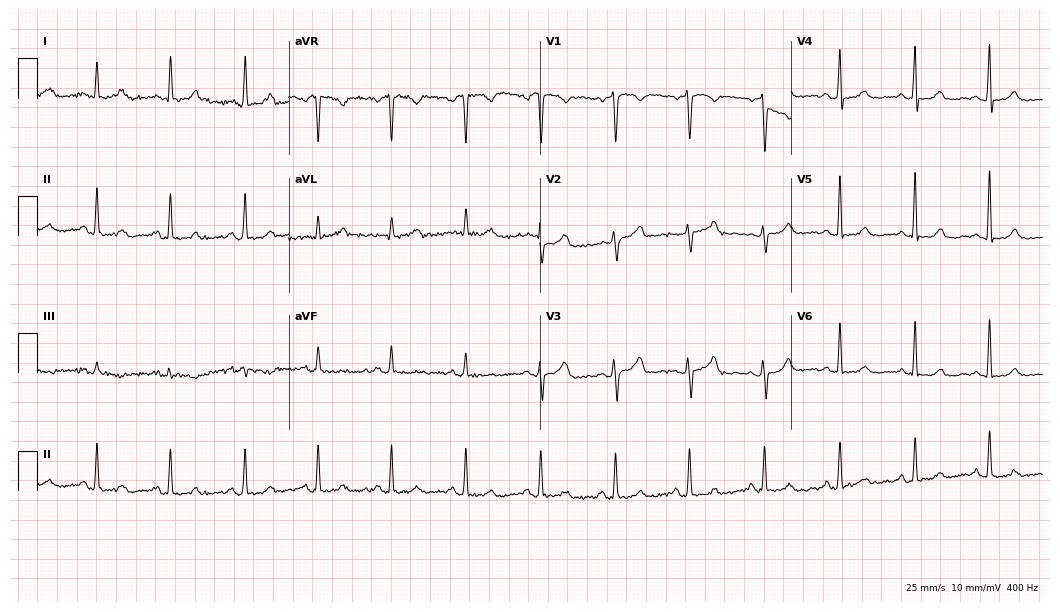
Standard 12-lead ECG recorded from a female, 61 years old (10.2-second recording at 400 Hz). Read as a normal ECG.